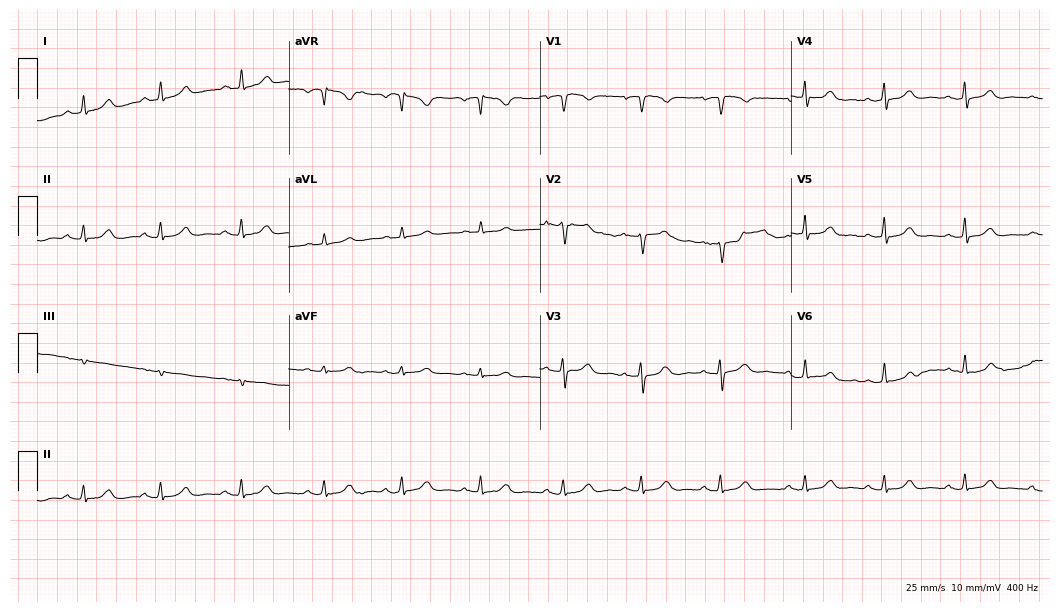
ECG (10.2-second recording at 400 Hz) — a 67-year-old female patient. Labelled as a normal ECG.